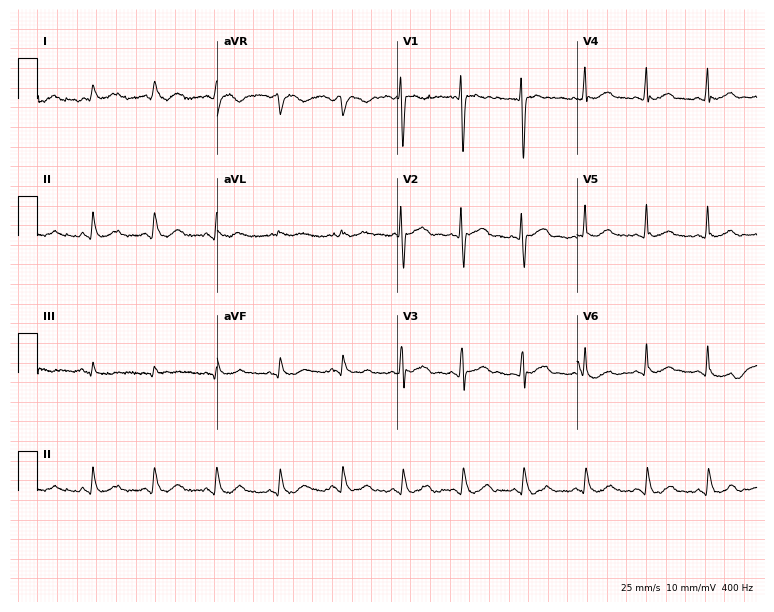
Electrocardiogram (7.3-second recording at 400 Hz), a woman, 29 years old. Overall reading on record: normal ECG.